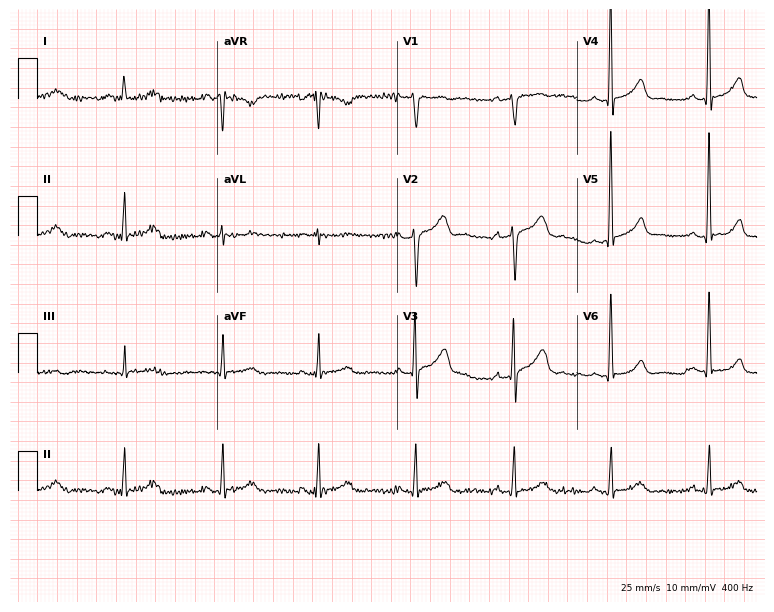
Standard 12-lead ECG recorded from a woman, 63 years old. None of these six findings is recorded: first-degree AV block, right bundle branch block (RBBB), left bundle branch block (LBBB), sinus bradycardia, atrial fibrillation (AF), sinus tachycardia.